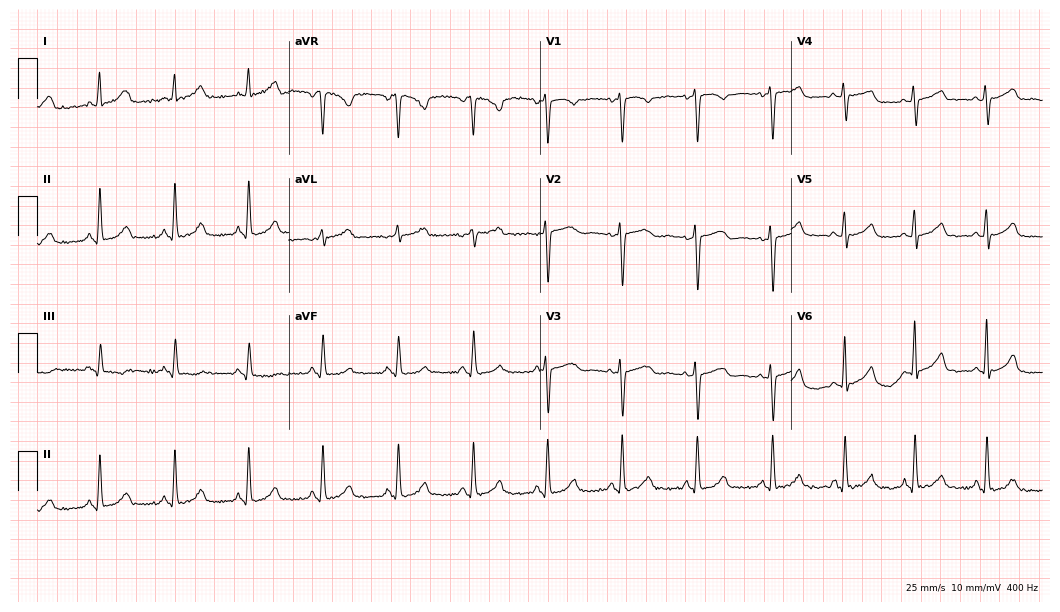
ECG (10.2-second recording at 400 Hz) — a 49-year-old woman. Labelled as a normal ECG.